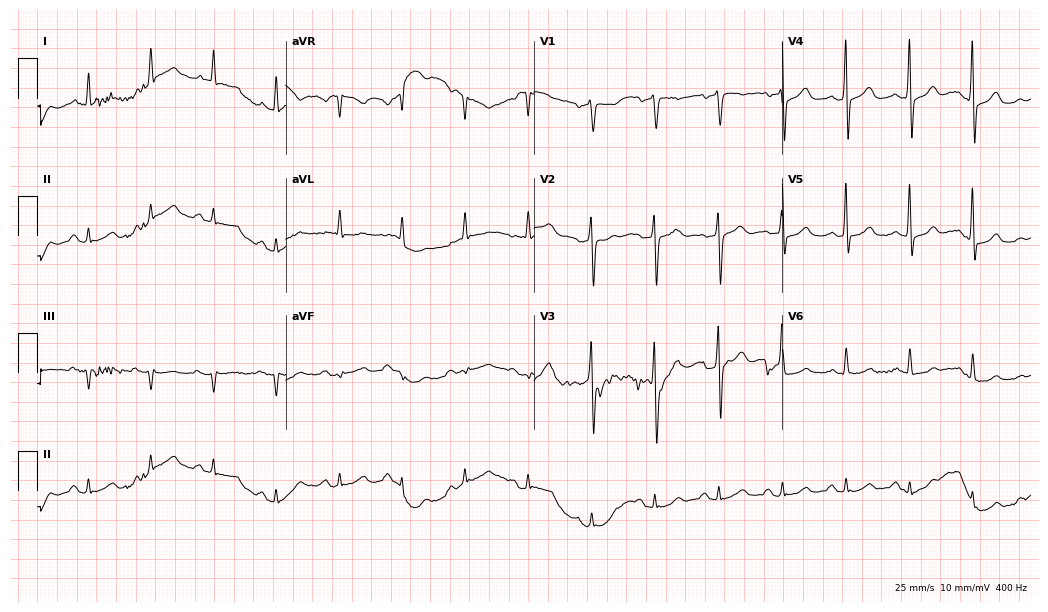
Standard 12-lead ECG recorded from a 59-year-old man. None of these six findings is recorded: first-degree AV block, right bundle branch block (RBBB), left bundle branch block (LBBB), sinus bradycardia, atrial fibrillation (AF), sinus tachycardia.